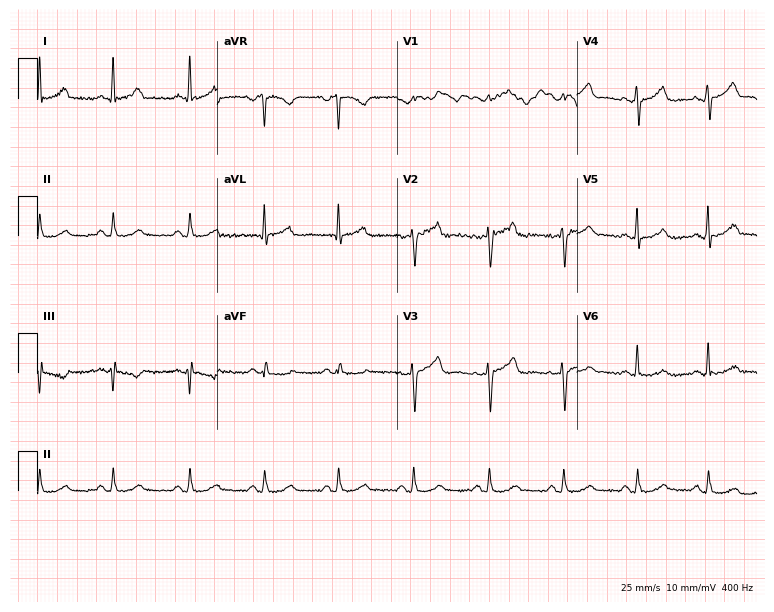
12-lead ECG from a female patient, 53 years old. No first-degree AV block, right bundle branch block (RBBB), left bundle branch block (LBBB), sinus bradycardia, atrial fibrillation (AF) or sinus tachycardia recorded for this tracing.